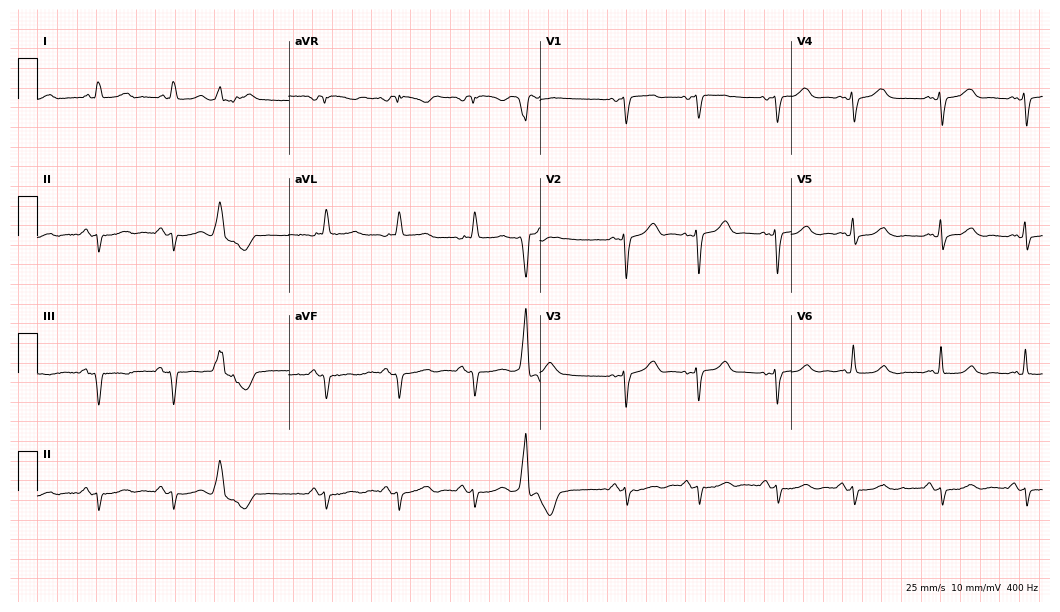
12-lead ECG (10.2-second recording at 400 Hz) from a female, 64 years old. Screened for six findings — first-degree AV block, right bundle branch block, left bundle branch block, sinus bradycardia, atrial fibrillation, sinus tachycardia — none is recorded. Other findings, if any, are not listed.